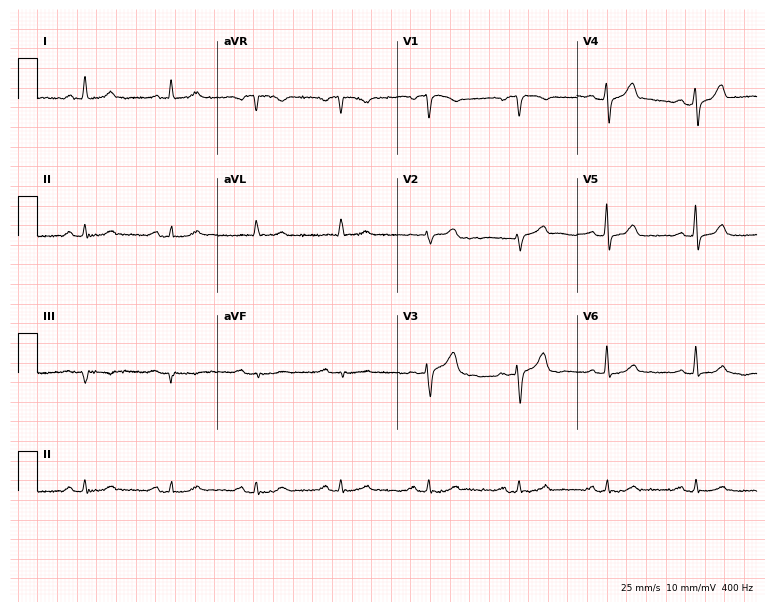
12-lead ECG (7.3-second recording at 400 Hz) from an 82-year-old male patient. Screened for six findings — first-degree AV block, right bundle branch block, left bundle branch block, sinus bradycardia, atrial fibrillation, sinus tachycardia — none is recorded.